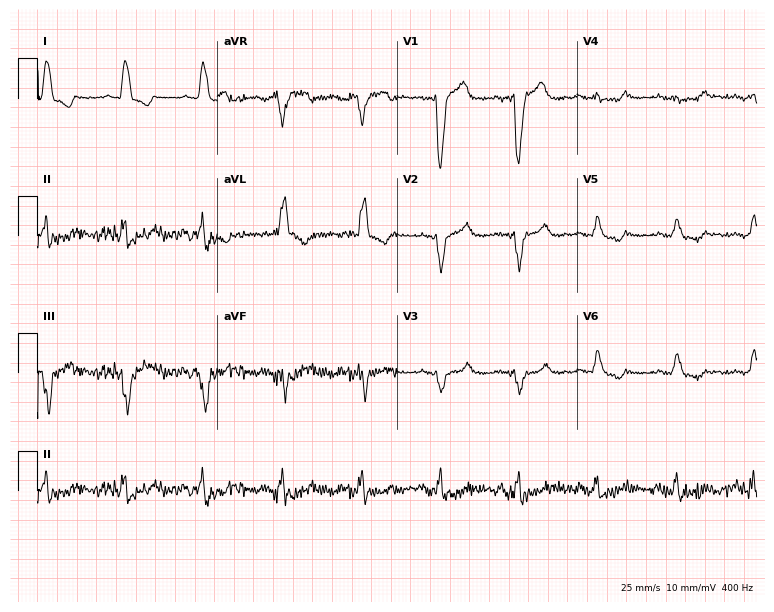
Resting 12-lead electrocardiogram. Patient: a female, 77 years old. The tracing shows left bundle branch block.